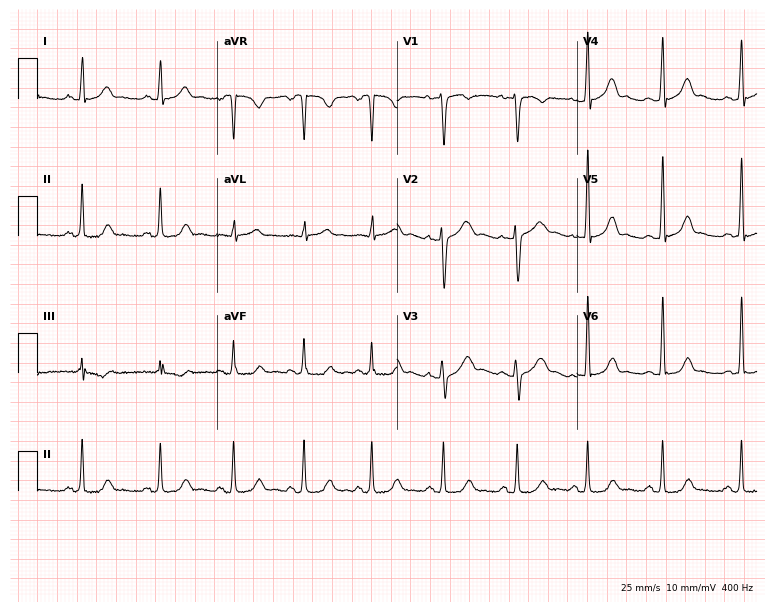
Electrocardiogram (7.3-second recording at 400 Hz), a woman, 33 years old. Overall reading on record: normal ECG.